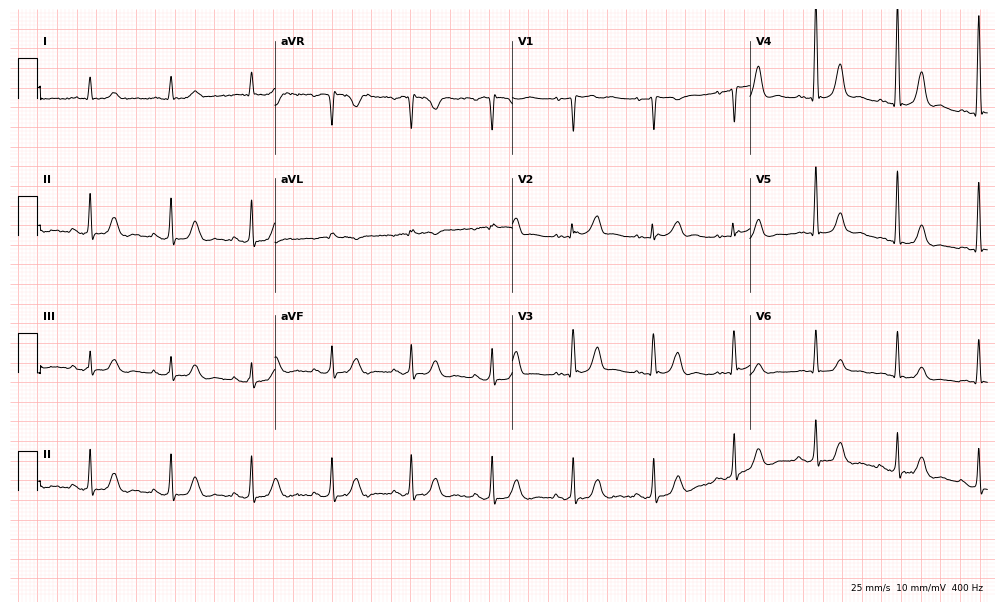
12-lead ECG (9.7-second recording at 400 Hz) from an 83-year-old male patient. Labelled as a normal ECG.